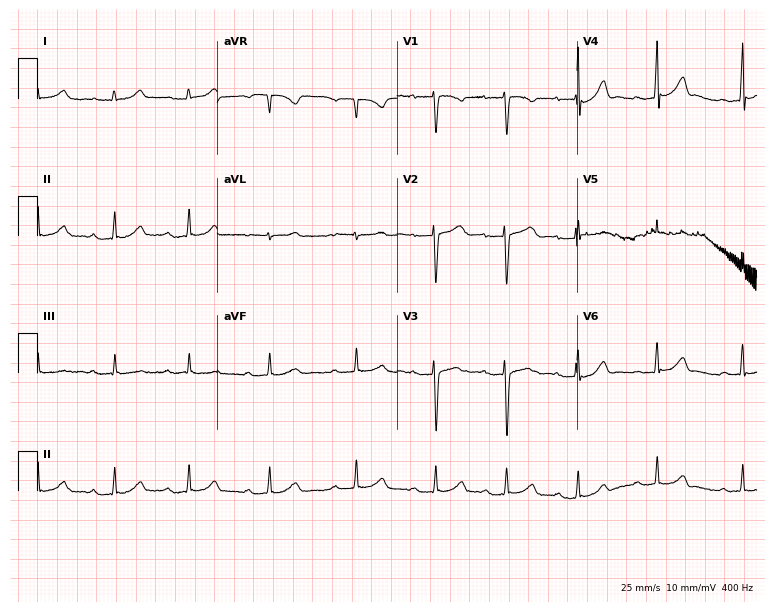
Standard 12-lead ECG recorded from a woman, 21 years old. The tracing shows first-degree AV block.